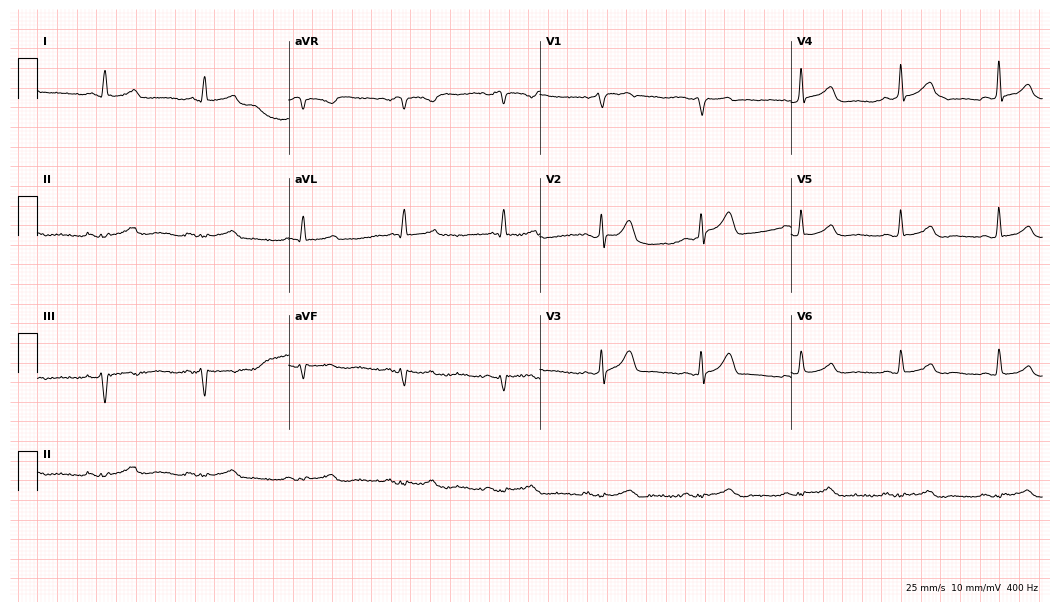
Standard 12-lead ECG recorded from a 65-year-old male (10.2-second recording at 400 Hz). Read as a normal ECG.